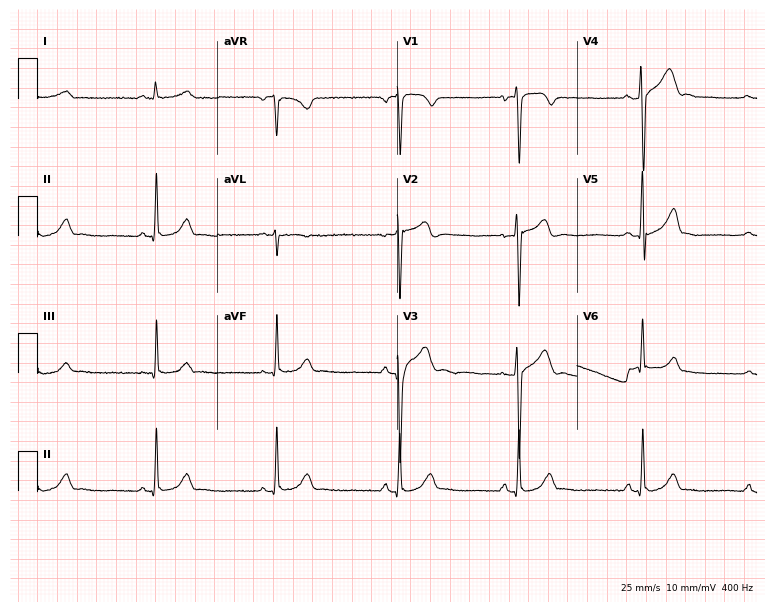
ECG — a 17-year-old man. Findings include sinus bradycardia (a sinus rate of 50 beats per minute or less).